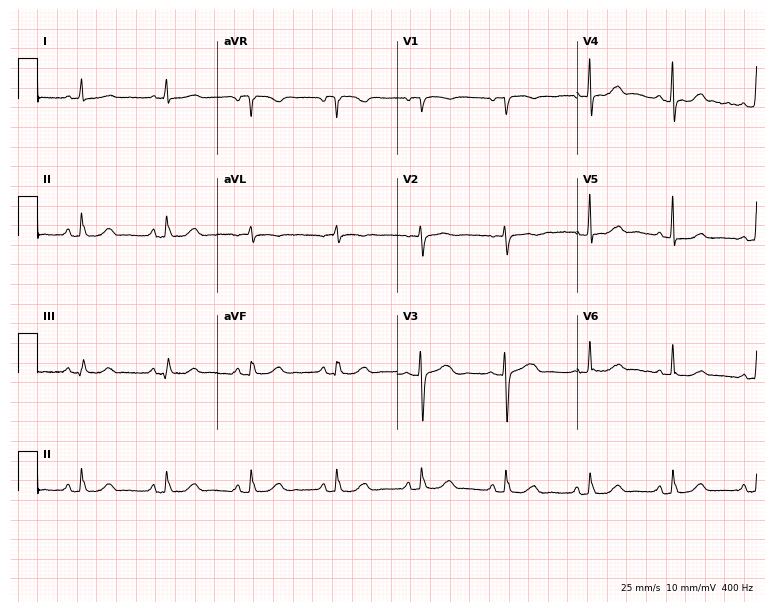
Electrocardiogram, a 75-year-old female patient. Overall reading on record: normal ECG.